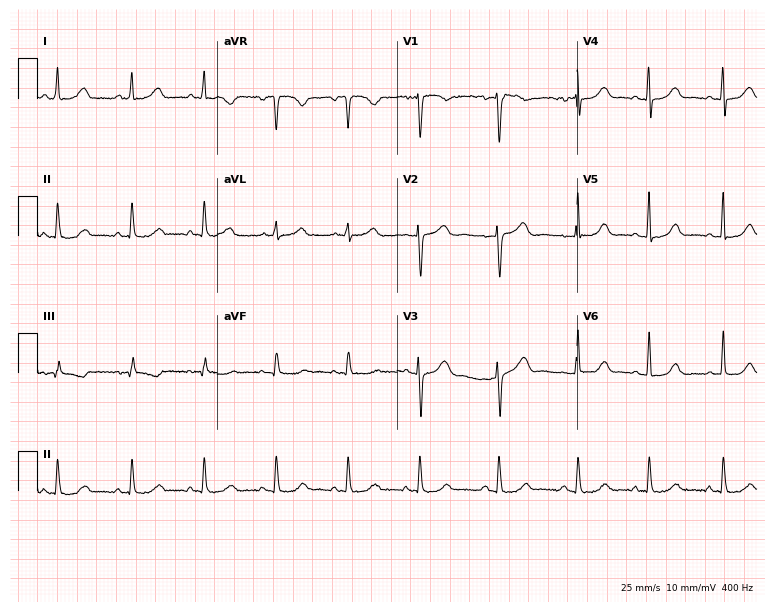
12-lead ECG from a female, 39 years old. Recorded interpretation: within normal limits.